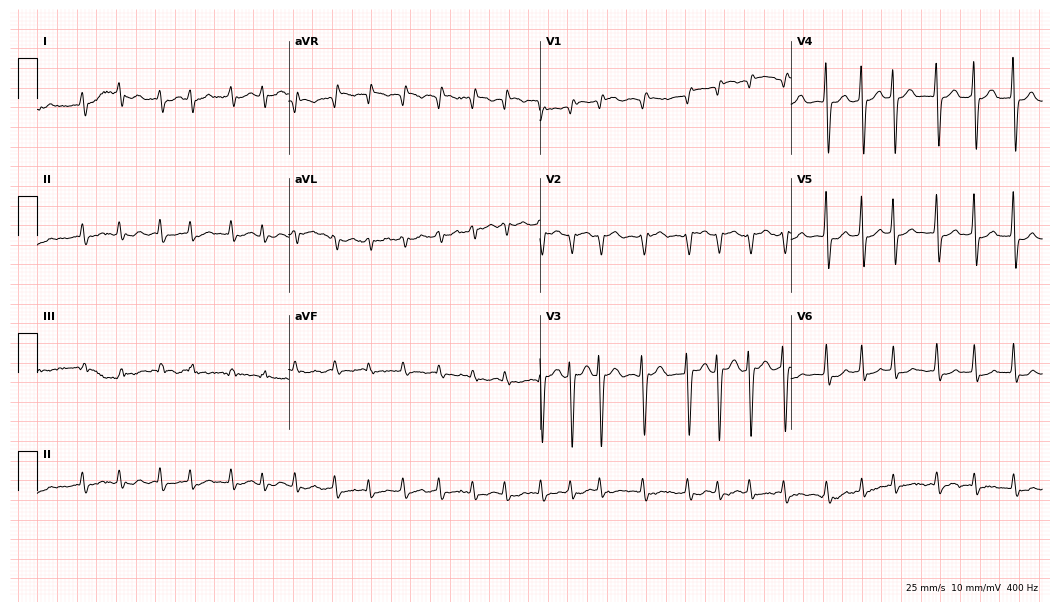
12-lead ECG from a female patient, 71 years old. Shows atrial fibrillation.